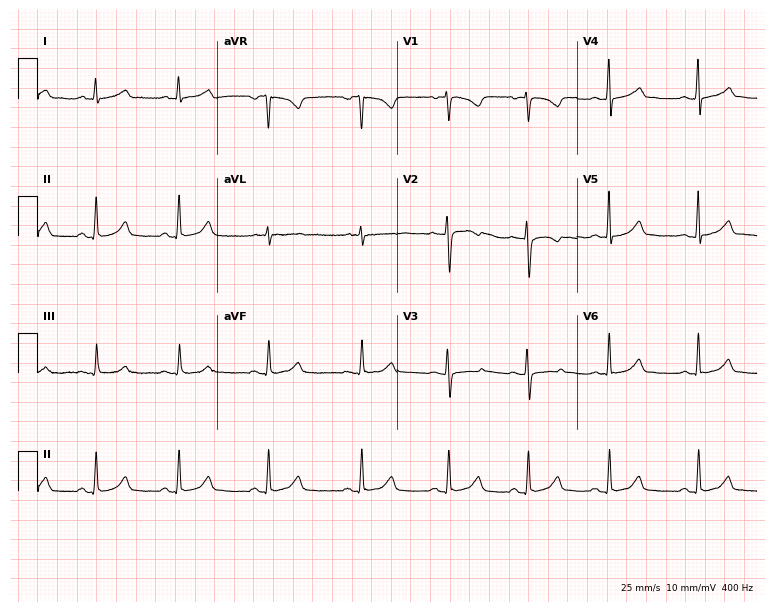
Standard 12-lead ECG recorded from a 42-year-old woman (7.3-second recording at 400 Hz). None of these six findings is recorded: first-degree AV block, right bundle branch block (RBBB), left bundle branch block (LBBB), sinus bradycardia, atrial fibrillation (AF), sinus tachycardia.